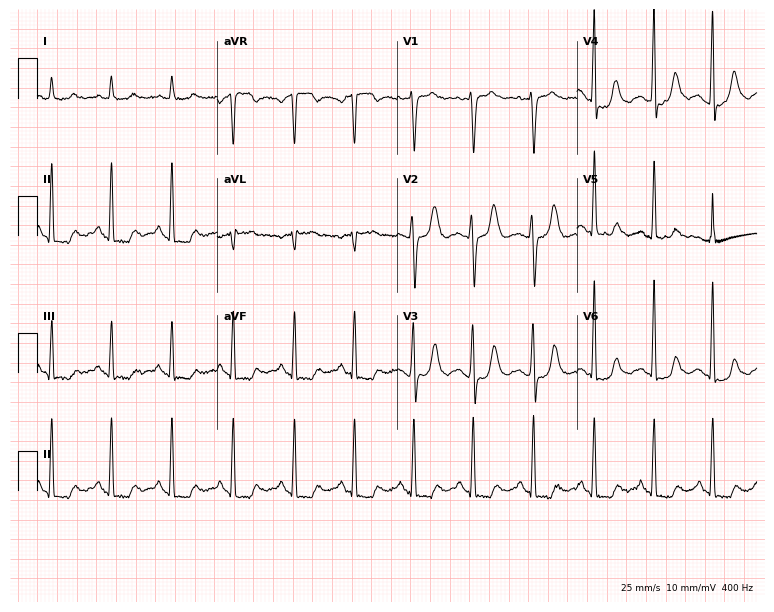
Resting 12-lead electrocardiogram (7.3-second recording at 400 Hz). Patient: a 61-year-old woman. None of these six findings is recorded: first-degree AV block, right bundle branch block, left bundle branch block, sinus bradycardia, atrial fibrillation, sinus tachycardia. Findings outside these six are not listed.